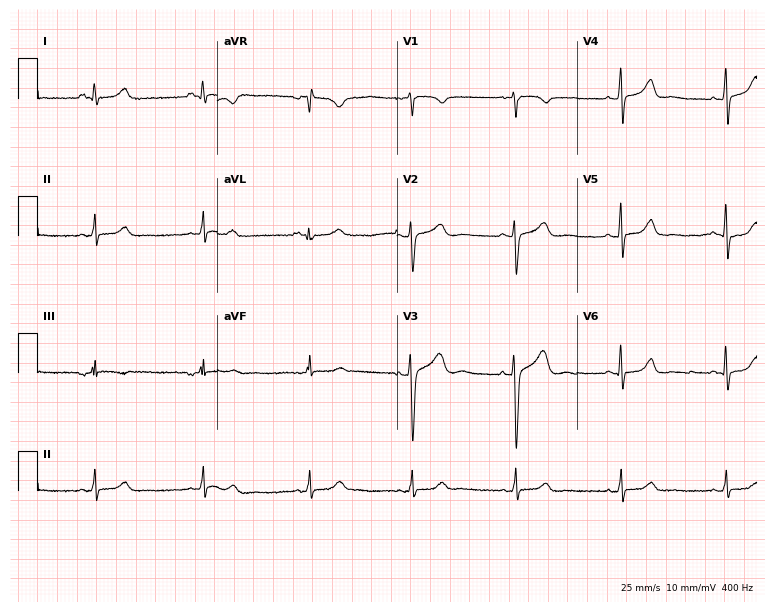
ECG (7.3-second recording at 400 Hz) — a 32-year-old female. Labelled as a normal ECG.